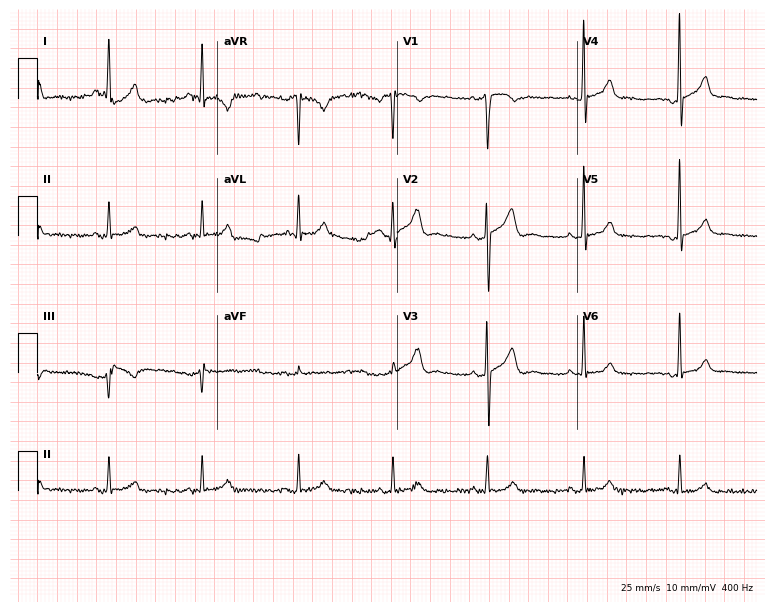
ECG — a 36-year-old male. Screened for six findings — first-degree AV block, right bundle branch block, left bundle branch block, sinus bradycardia, atrial fibrillation, sinus tachycardia — none is recorded. Only these six findings were labelled.